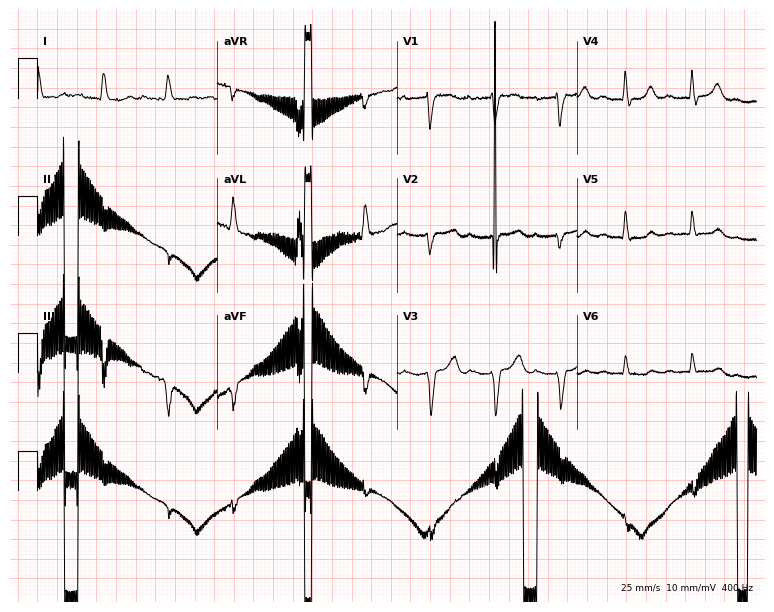
12-lead ECG (7.3-second recording at 400 Hz) from an 84-year-old female. Screened for six findings — first-degree AV block, right bundle branch block, left bundle branch block, sinus bradycardia, atrial fibrillation, sinus tachycardia — none is recorded.